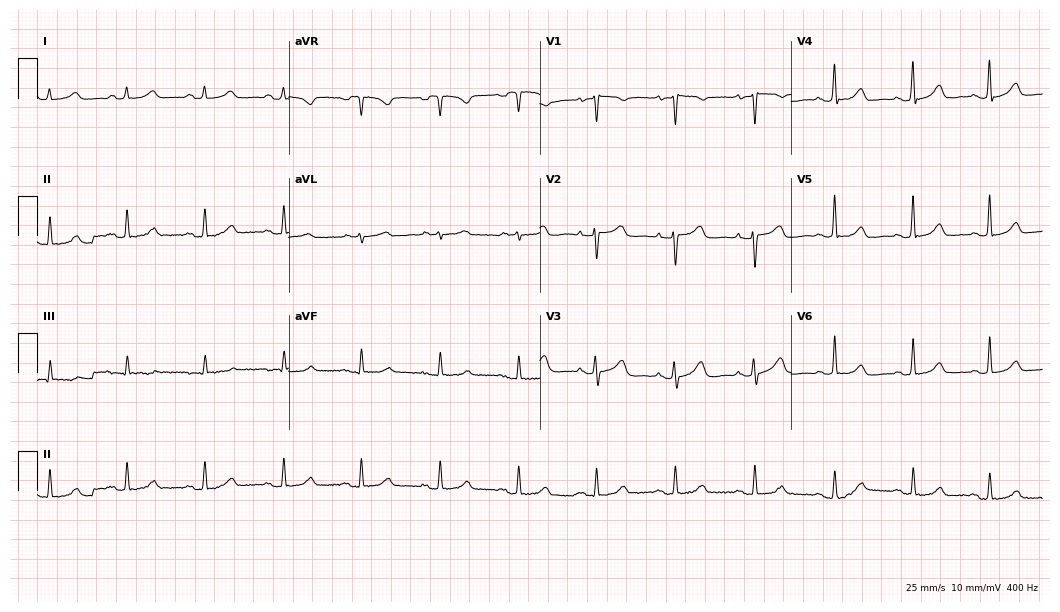
12-lead ECG (10.2-second recording at 400 Hz) from a 50-year-old female. Labelled as a normal ECG.